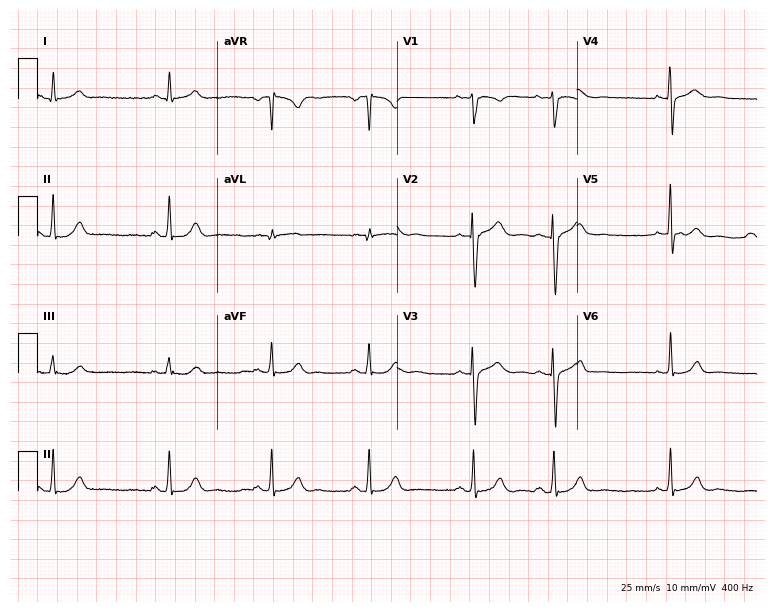
ECG — a 24-year-old female patient. Screened for six findings — first-degree AV block, right bundle branch block, left bundle branch block, sinus bradycardia, atrial fibrillation, sinus tachycardia — none is recorded.